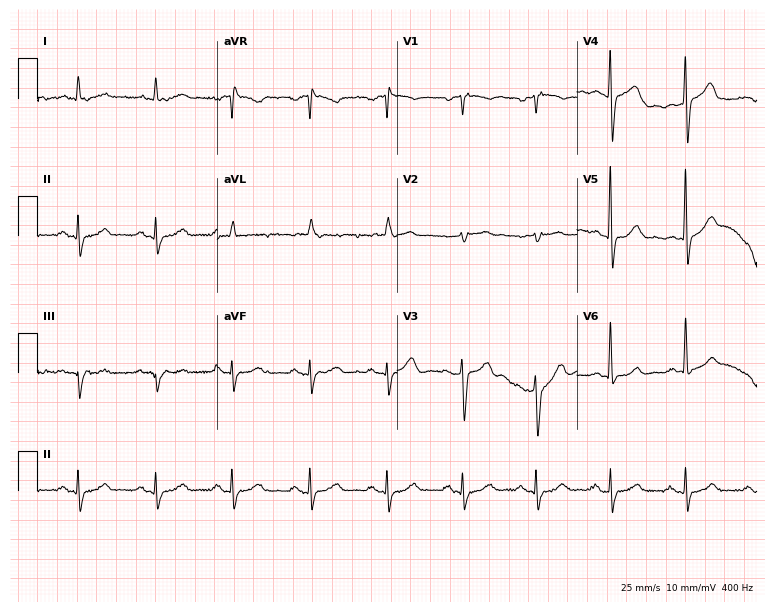
ECG (7.3-second recording at 400 Hz) — a 71-year-old male. Screened for six findings — first-degree AV block, right bundle branch block, left bundle branch block, sinus bradycardia, atrial fibrillation, sinus tachycardia — none is recorded.